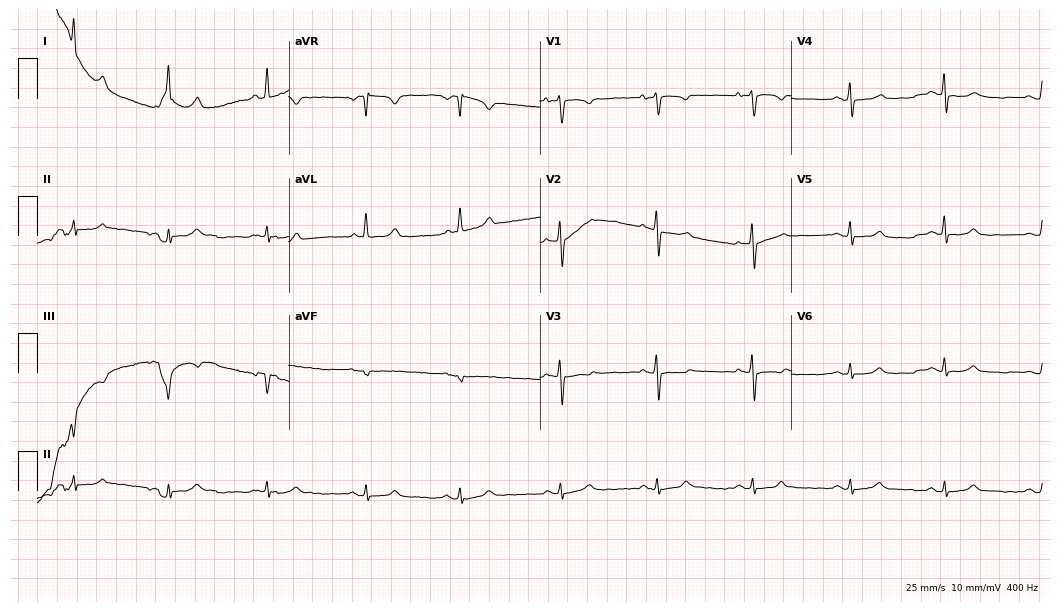
Standard 12-lead ECG recorded from a female patient, 68 years old. None of these six findings is recorded: first-degree AV block, right bundle branch block (RBBB), left bundle branch block (LBBB), sinus bradycardia, atrial fibrillation (AF), sinus tachycardia.